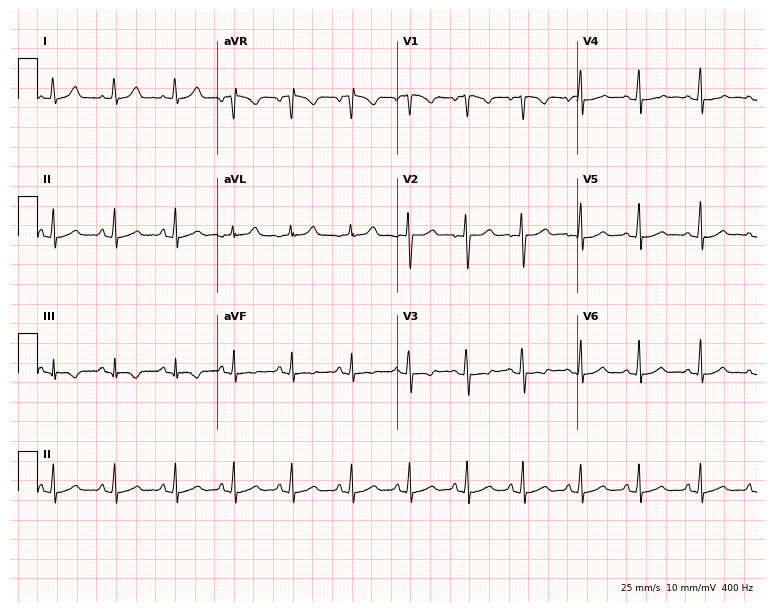
12-lead ECG from a female, 18 years old. Recorded interpretation: within normal limits.